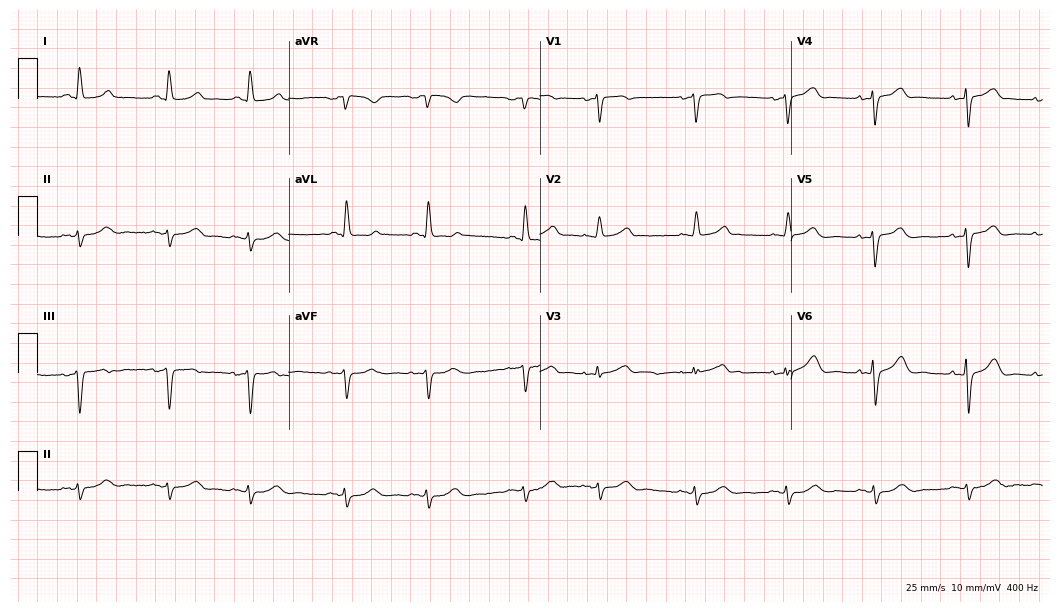
Electrocardiogram (10.2-second recording at 400 Hz), a 79-year-old female patient. Of the six screened findings (first-degree AV block, right bundle branch block, left bundle branch block, sinus bradycardia, atrial fibrillation, sinus tachycardia), none is recorded. Other findings, if any, are not listed.